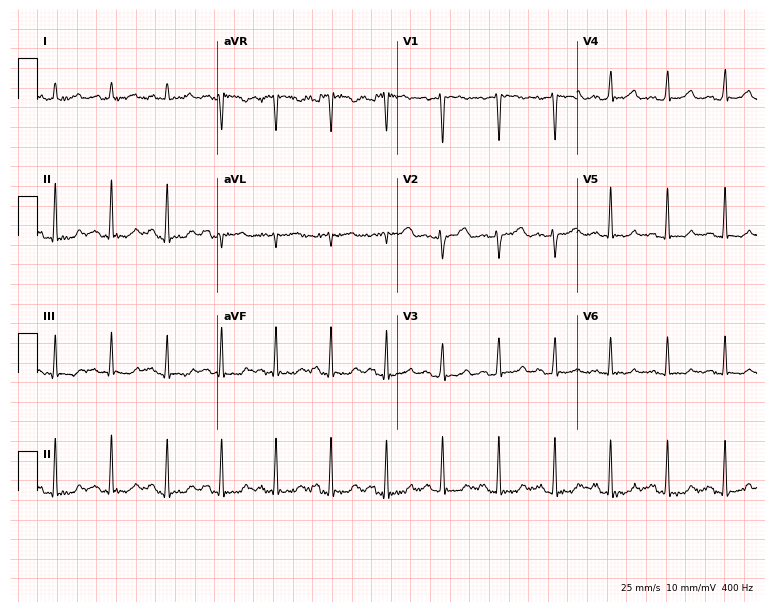
Standard 12-lead ECG recorded from a 33-year-old female patient (7.3-second recording at 400 Hz). The tracing shows sinus tachycardia (a sinus rate of 100 beats per minute or more).